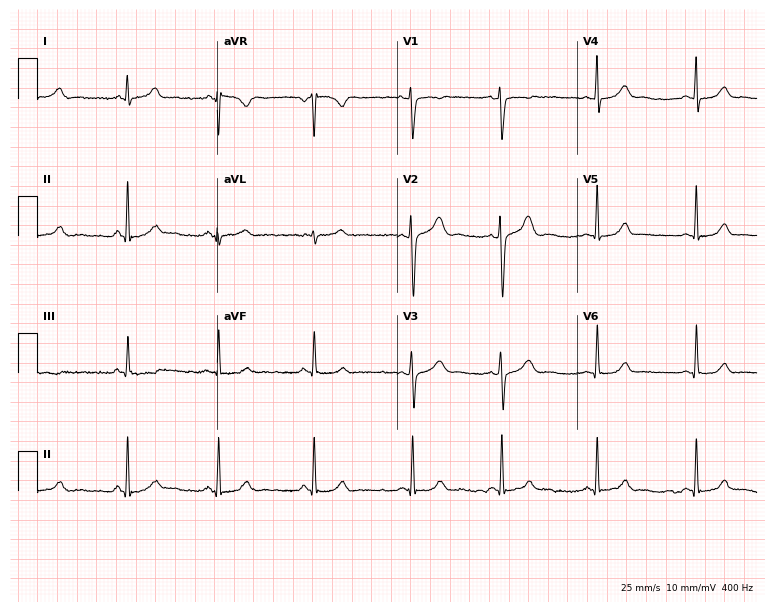
12-lead ECG from a 23-year-old female. Labelled as a normal ECG.